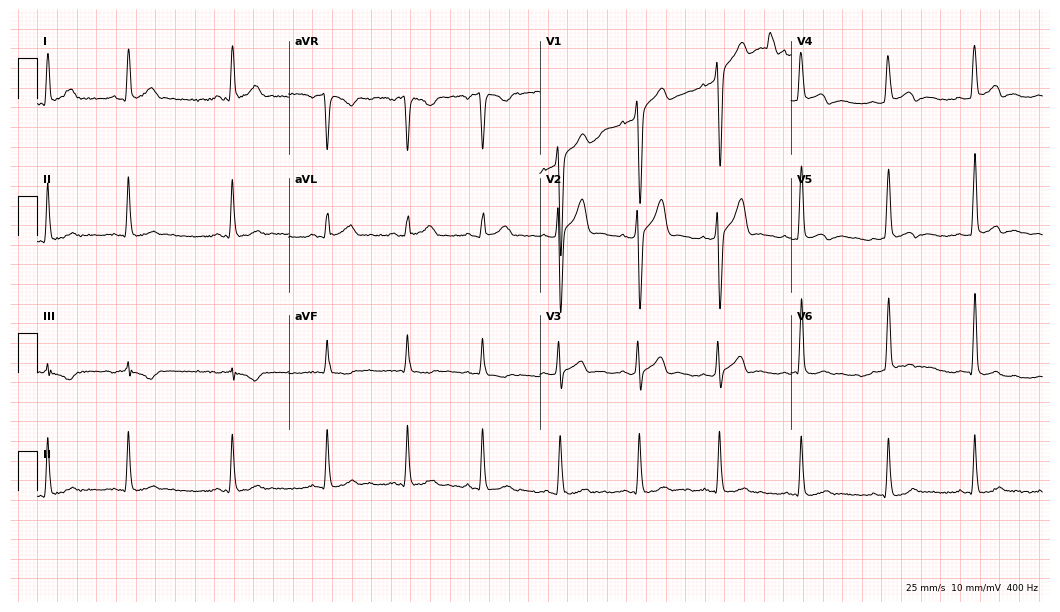
12-lead ECG (10.2-second recording at 400 Hz) from a 29-year-old male. Screened for six findings — first-degree AV block, right bundle branch block, left bundle branch block, sinus bradycardia, atrial fibrillation, sinus tachycardia — none is recorded. Only these six findings were labelled.